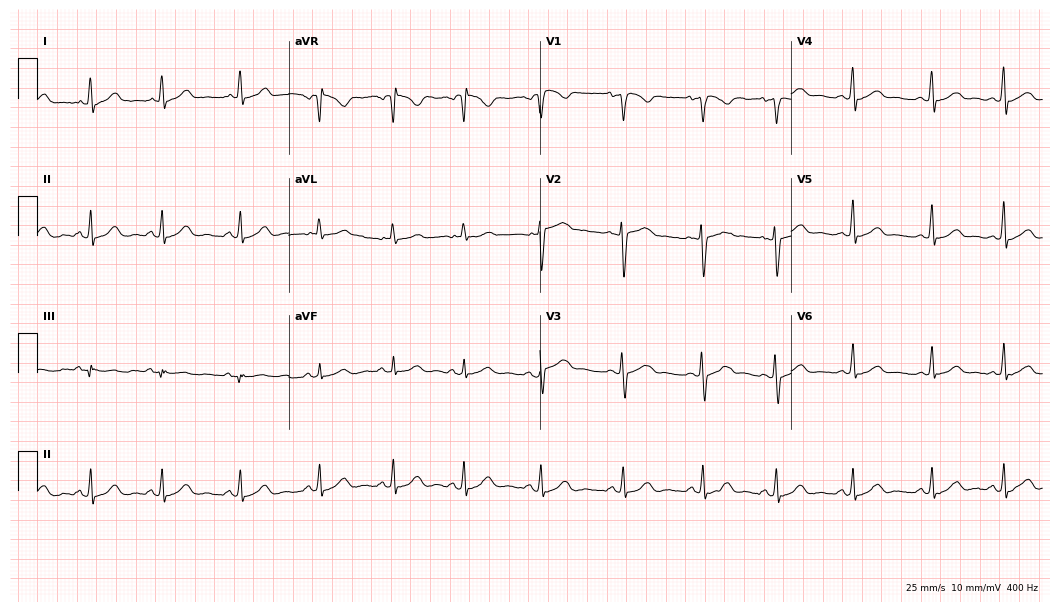
12-lead ECG from a woman, 40 years old. Labelled as a normal ECG.